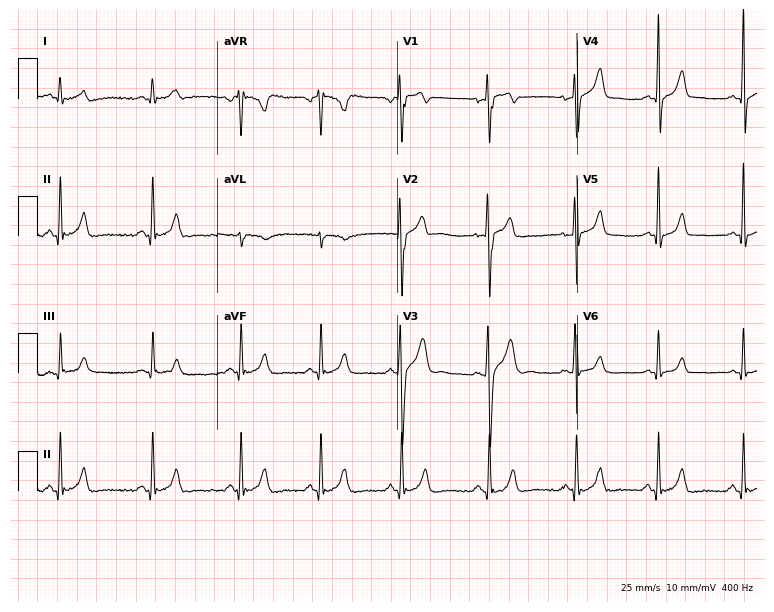
Resting 12-lead electrocardiogram. Patient: a male, 23 years old. Read as a normal ECG.